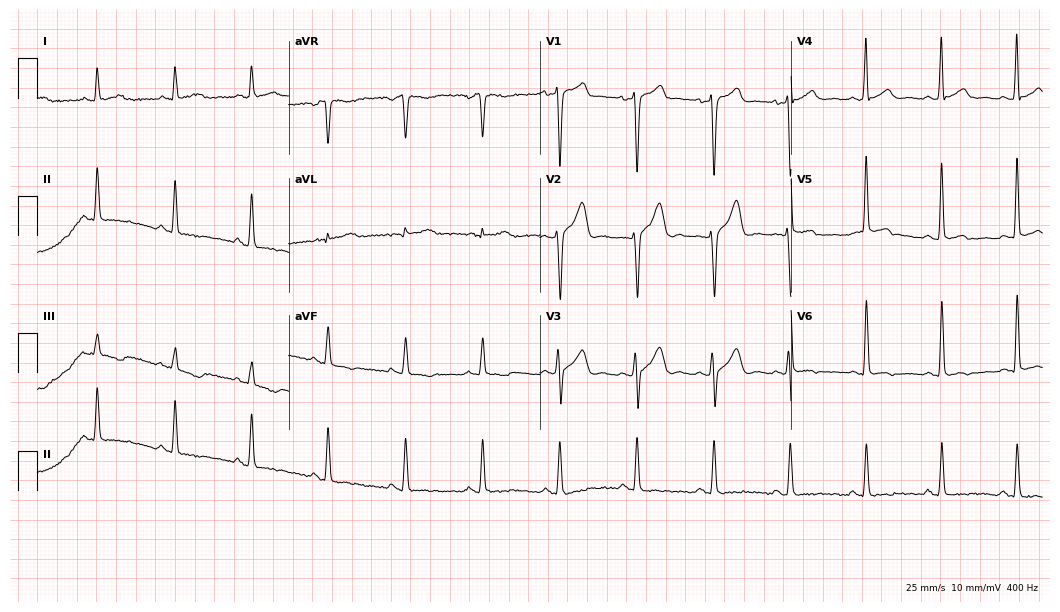
Standard 12-lead ECG recorded from a 42-year-old male patient. None of these six findings is recorded: first-degree AV block, right bundle branch block (RBBB), left bundle branch block (LBBB), sinus bradycardia, atrial fibrillation (AF), sinus tachycardia.